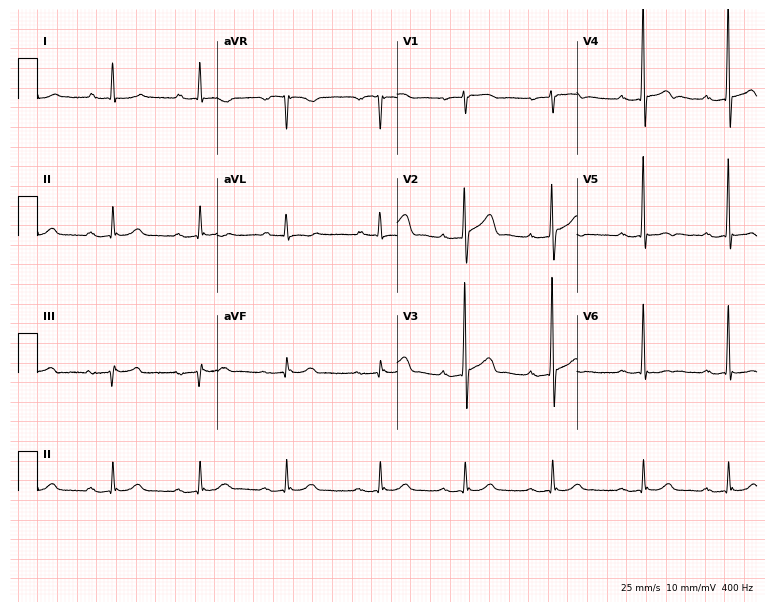
Electrocardiogram, an 81-year-old male patient. Of the six screened findings (first-degree AV block, right bundle branch block (RBBB), left bundle branch block (LBBB), sinus bradycardia, atrial fibrillation (AF), sinus tachycardia), none is recorded. Findings outside these six are not listed.